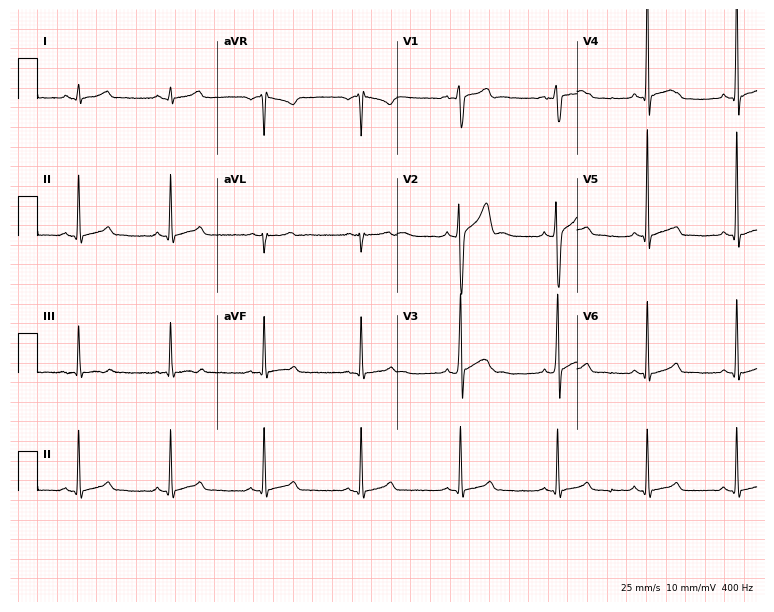
ECG — an 18-year-old male. Labelled as a normal ECG.